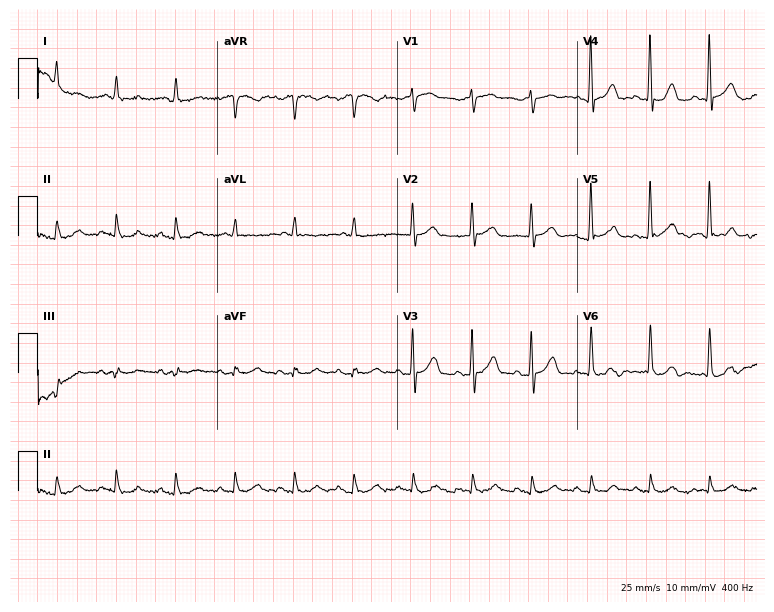
12-lead ECG from a male, 79 years old. Recorded interpretation: within normal limits.